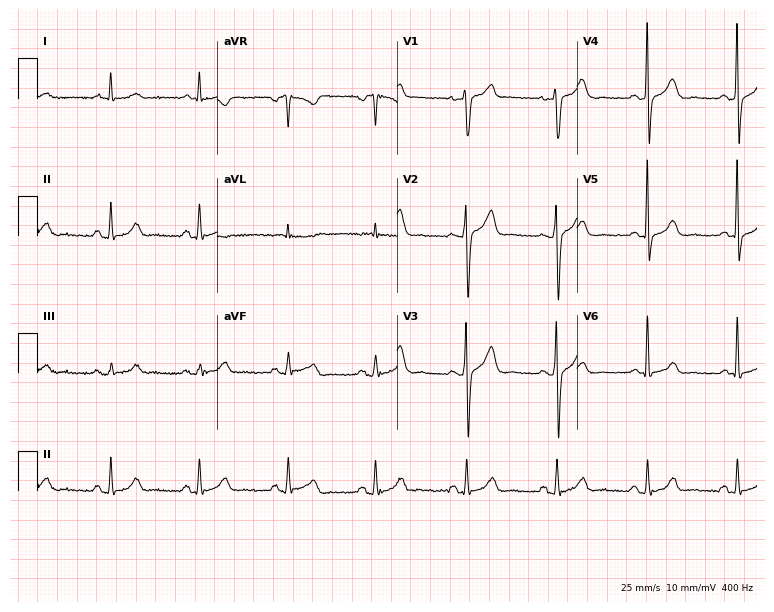
Resting 12-lead electrocardiogram. Patient: a male, 56 years old. Read as a normal ECG.